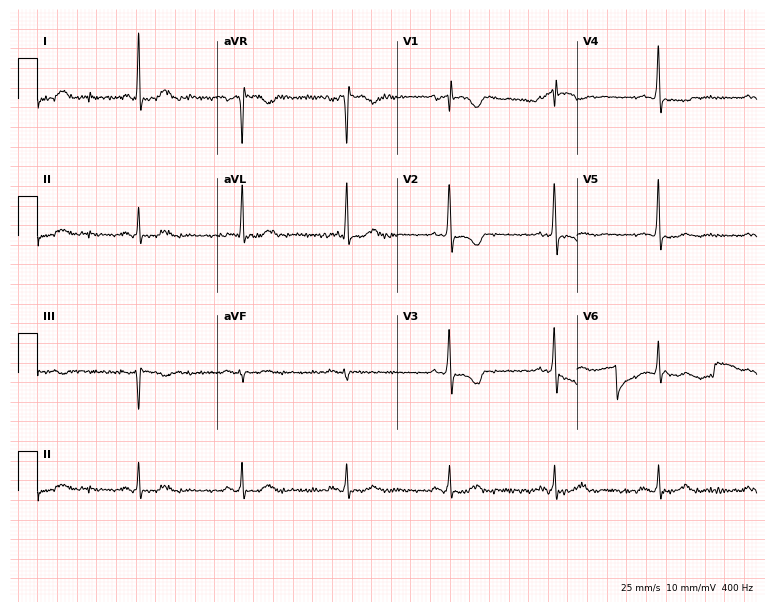
Standard 12-lead ECG recorded from a female patient, 72 years old. None of these six findings is recorded: first-degree AV block, right bundle branch block, left bundle branch block, sinus bradycardia, atrial fibrillation, sinus tachycardia. Other findings, if any, are not listed.